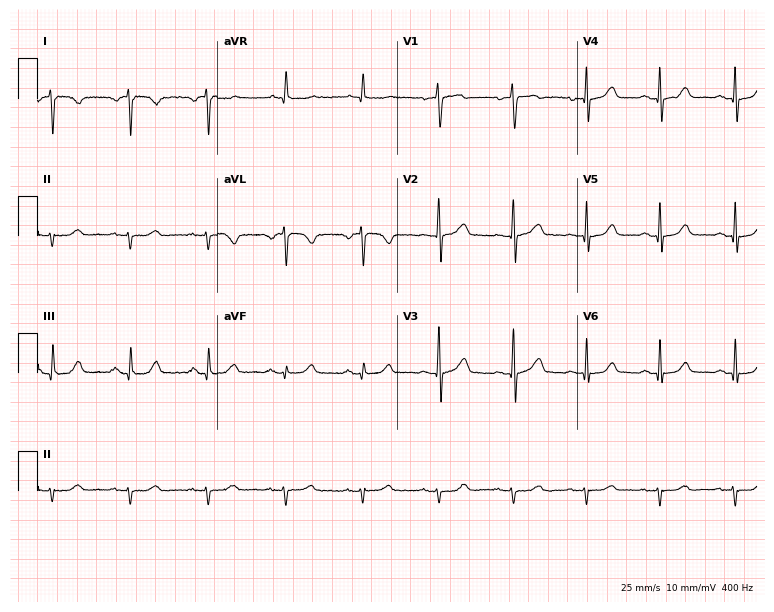
ECG (7.3-second recording at 400 Hz) — a 67-year-old female patient. Screened for six findings — first-degree AV block, right bundle branch block, left bundle branch block, sinus bradycardia, atrial fibrillation, sinus tachycardia — none is recorded.